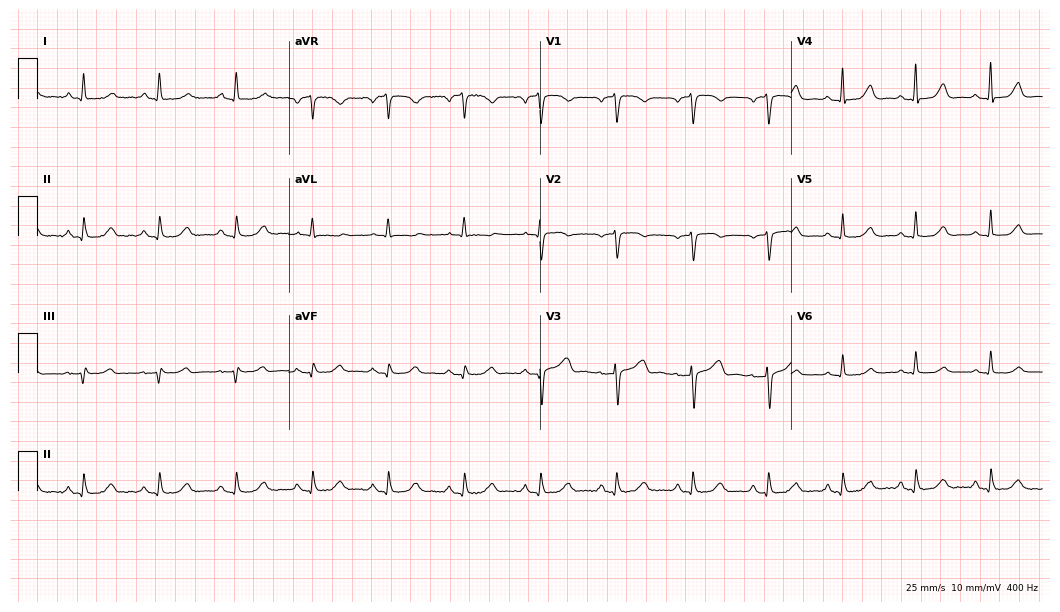
ECG — a 54-year-old female. Screened for six findings — first-degree AV block, right bundle branch block, left bundle branch block, sinus bradycardia, atrial fibrillation, sinus tachycardia — none is recorded. Only these six findings were labelled.